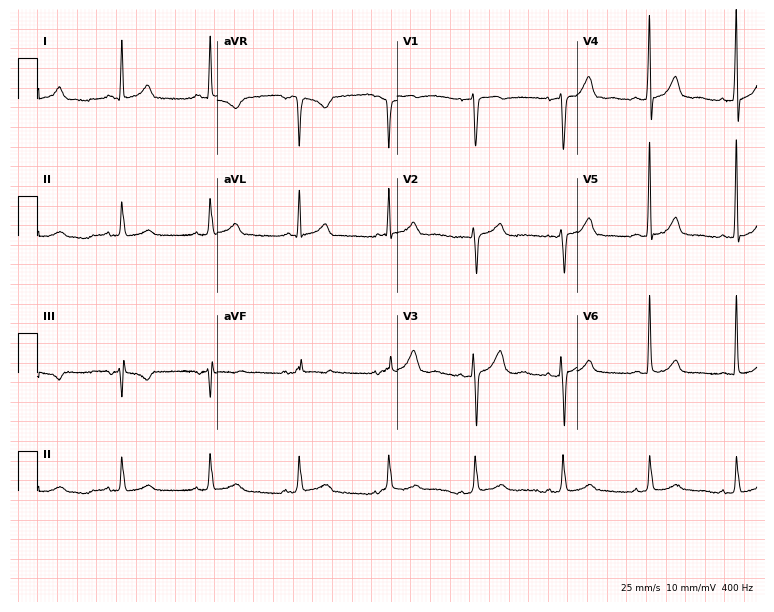
Electrocardiogram, a female, 56 years old. Overall reading on record: normal ECG.